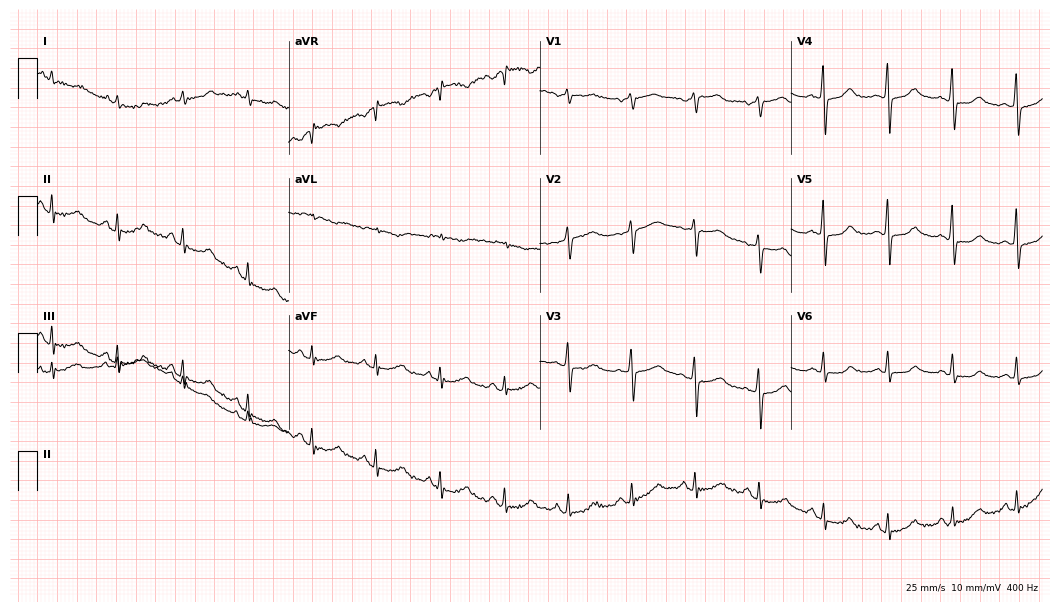
ECG (10.2-second recording at 400 Hz) — a woman, 66 years old. Screened for six findings — first-degree AV block, right bundle branch block, left bundle branch block, sinus bradycardia, atrial fibrillation, sinus tachycardia — none is recorded.